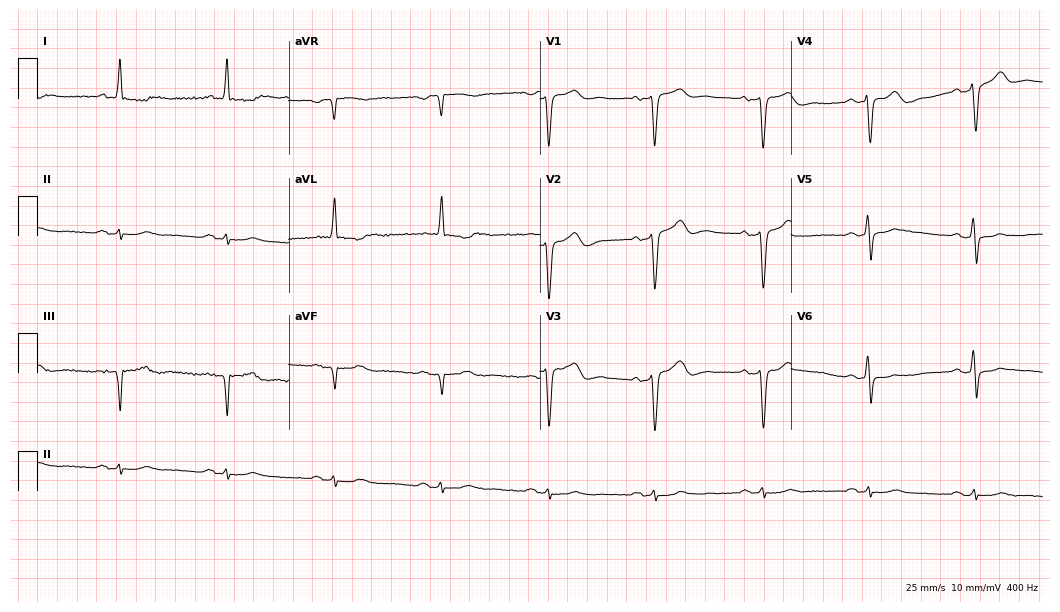
12-lead ECG (10.2-second recording at 400 Hz) from a 68-year-old male patient. Screened for six findings — first-degree AV block, right bundle branch block, left bundle branch block, sinus bradycardia, atrial fibrillation, sinus tachycardia — none is recorded. Other findings, if any, are not listed.